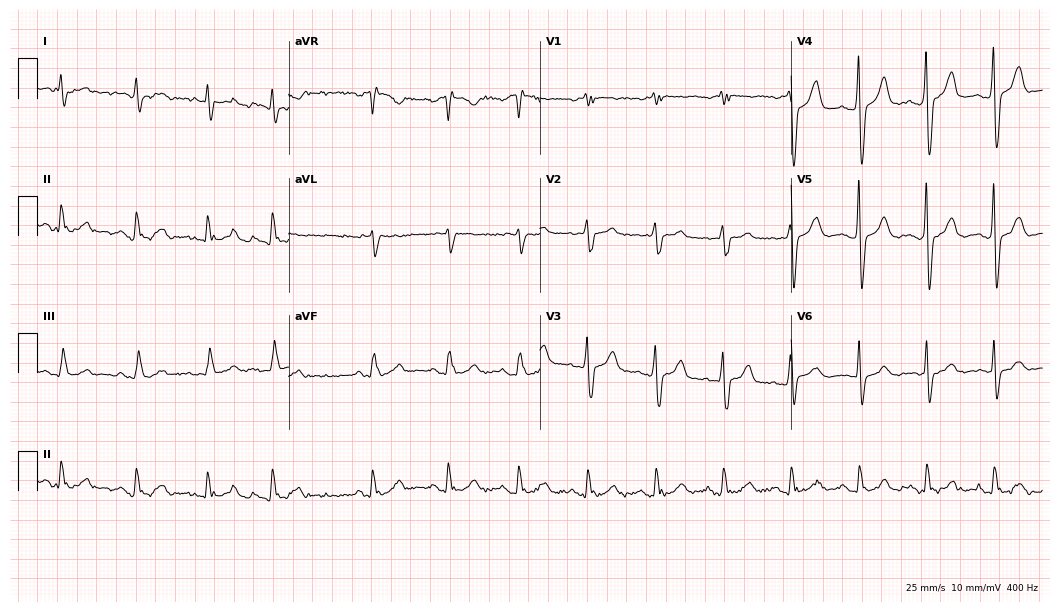
Standard 12-lead ECG recorded from a 71-year-old man. None of these six findings is recorded: first-degree AV block, right bundle branch block, left bundle branch block, sinus bradycardia, atrial fibrillation, sinus tachycardia. Findings outside these six are not listed.